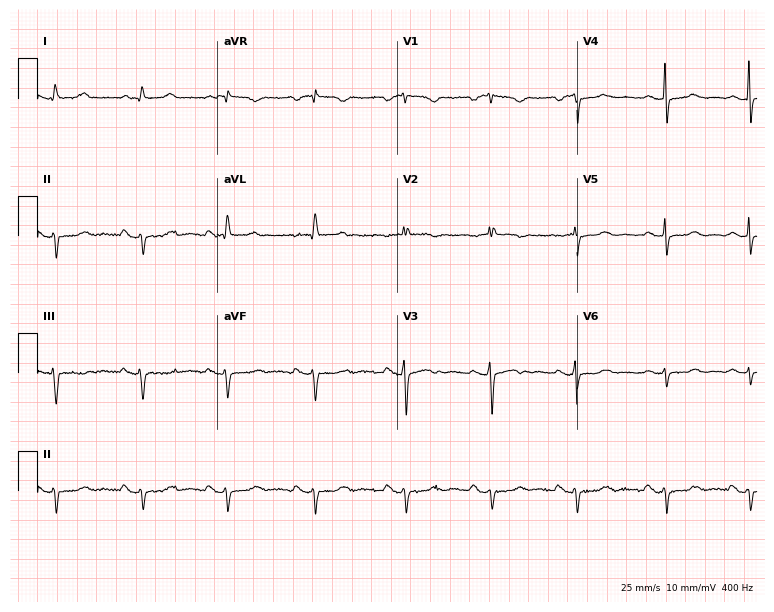
Standard 12-lead ECG recorded from a female, 73 years old (7.3-second recording at 400 Hz). None of these six findings is recorded: first-degree AV block, right bundle branch block, left bundle branch block, sinus bradycardia, atrial fibrillation, sinus tachycardia.